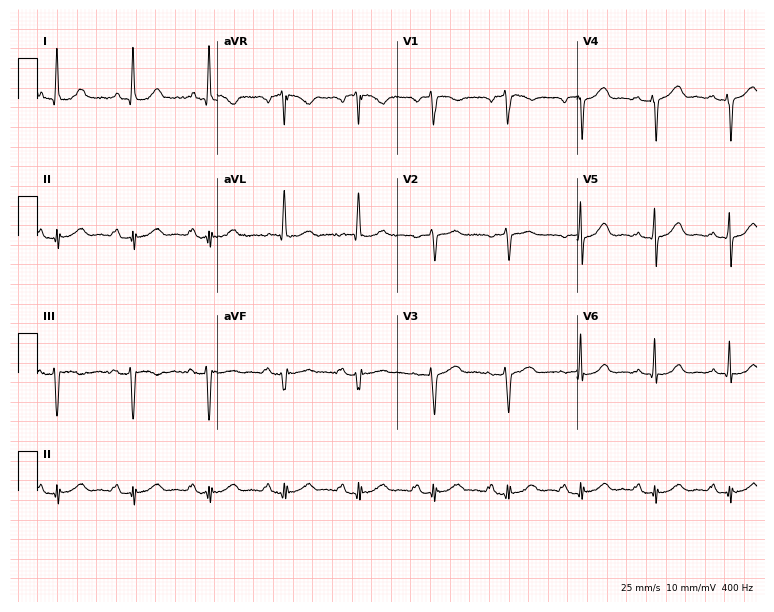
Standard 12-lead ECG recorded from a female, 76 years old. None of these six findings is recorded: first-degree AV block, right bundle branch block, left bundle branch block, sinus bradycardia, atrial fibrillation, sinus tachycardia. Only these six findings were labelled.